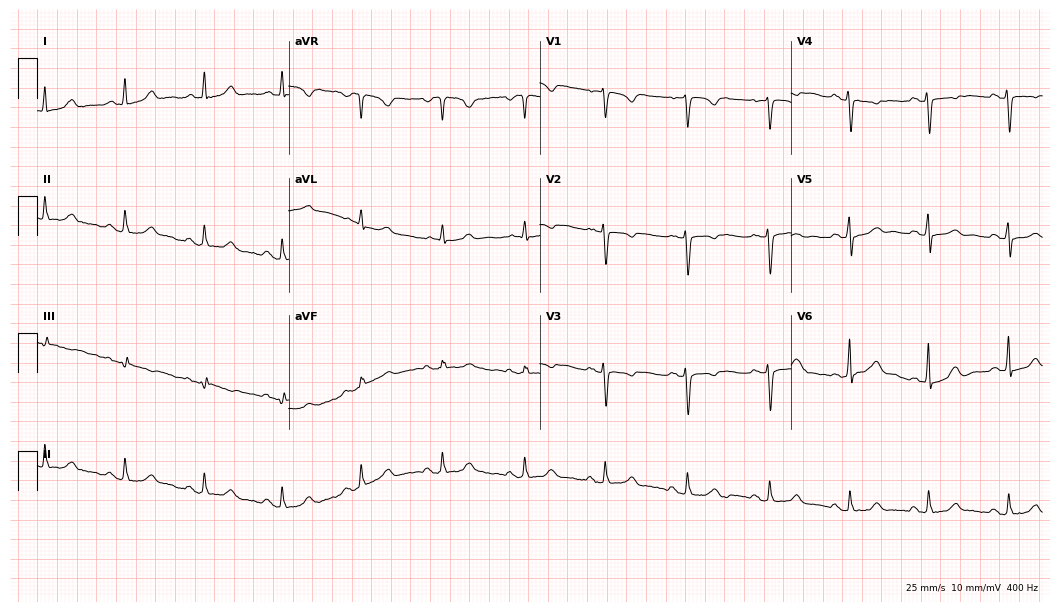
12-lead ECG from a 57-year-old female patient. No first-degree AV block, right bundle branch block, left bundle branch block, sinus bradycardia, atrial fibrillation or sinus tachycardia recorded for this tracing. Other findings, if any, are not listed.